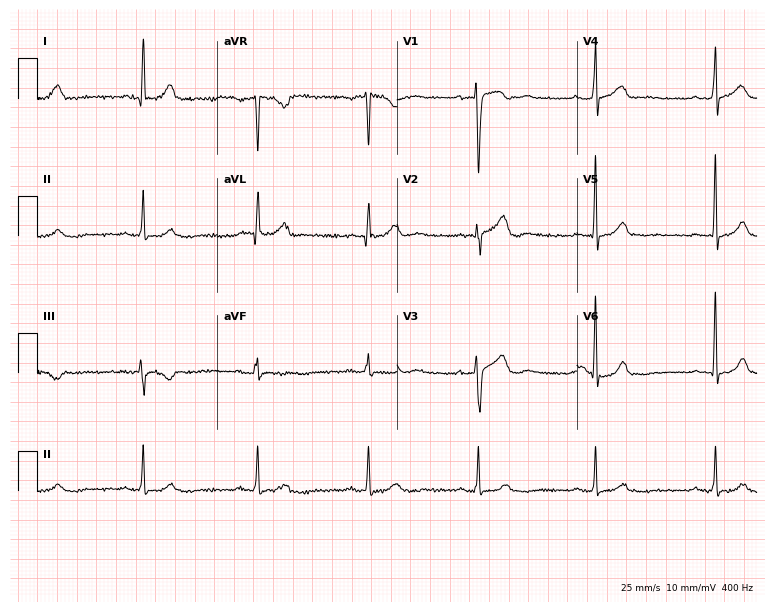
Electrocardiogram, a 51-year-old man. Overall reading on record: normal ECG.